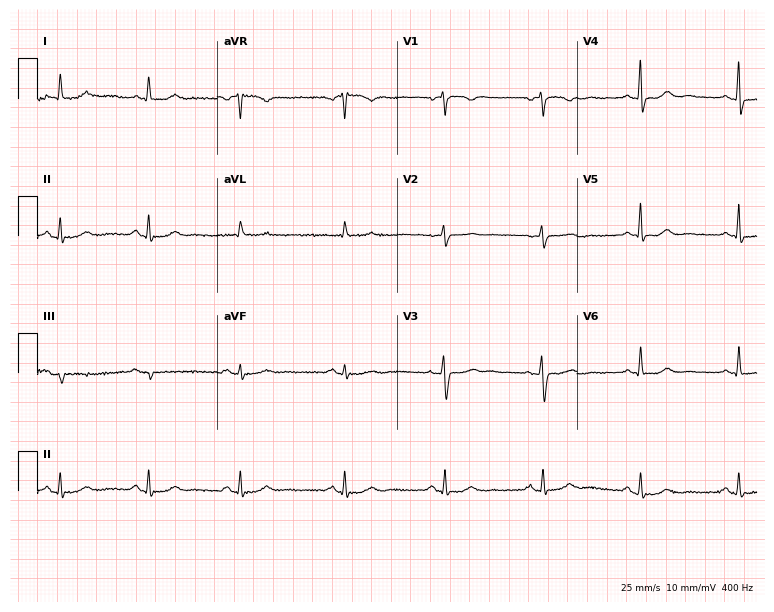
Standard 12-lead ECG recorded from a 65-year-old female. Read as a normal ECG.